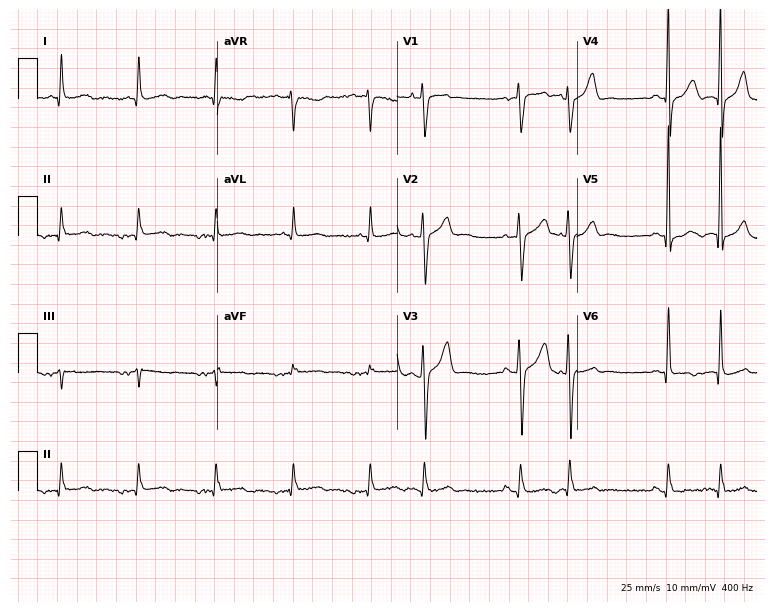
Standard 12-lead ECG recorded from a male, 67 years old (7.3-second recording at 400 Hz). None of these six findings is recorded: first-degree AV block, right bundle branch block, left bundle branch block, sinus bradycardia, atrial fibrillation, sinus tachycardia.